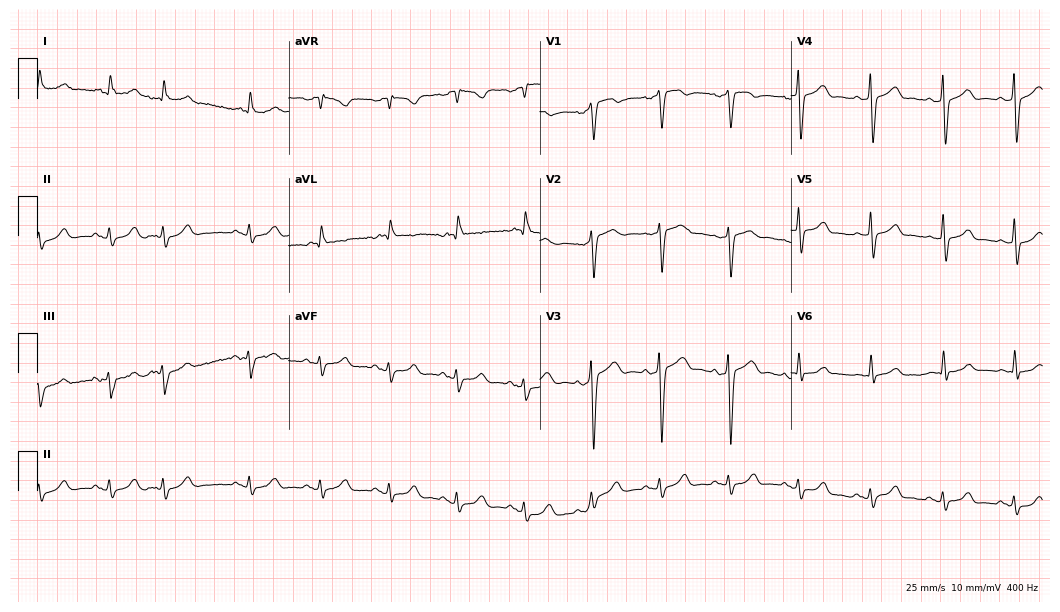
ECG — a male, 85 years old. Screened for six findings — first-degree AV block, right bundle branch block, left bundle branch block, sinus bradycardia, atrial fibrillation, sinus tachycardia — none is recorded.